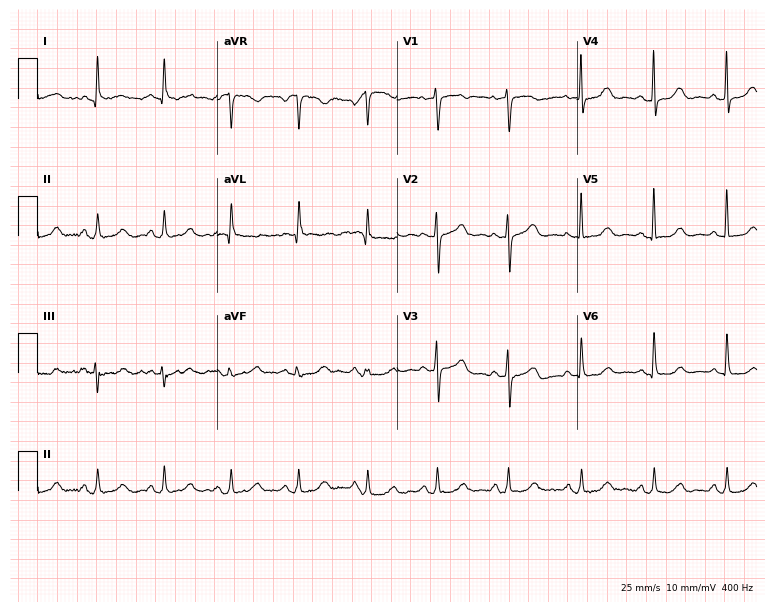
12-lead ECG from an 80-year-old female (7.3-second recording at 400 Hz). No first-degree AV block, right bundle branch block (RBBB), left bundle branch block (LBBB), sinus bradycardia, atrial fibrillation (AF) or sinus tachycardia recorded for this tracing.